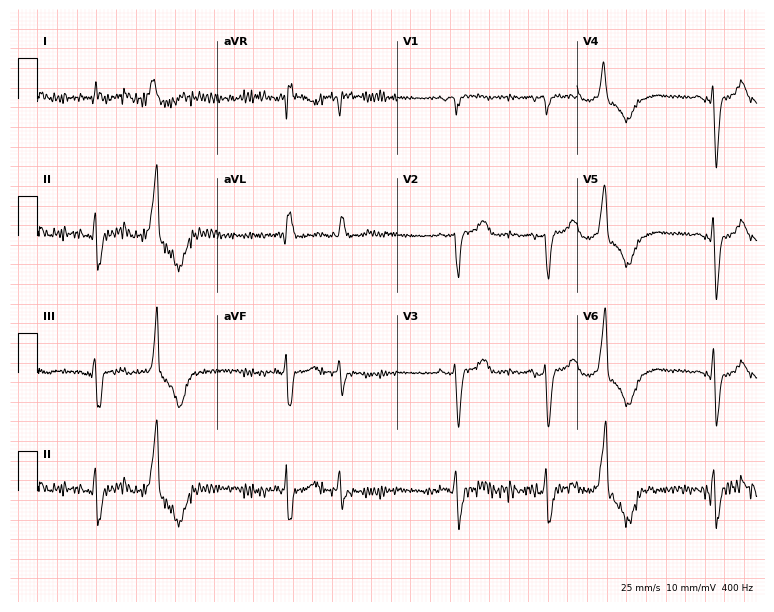
Standard 12-lead ECG recorded from a female, 83 years old (7.3-second recording at 400 Hz). None of these six findings is recorded: first-degree AV block, right bundle branch block (RBBB), left bundle branch block (LBBB), sinus bradycardia, atrial fibrillation (AF), sinus tachycardia. Other findings, if any, are not listed.